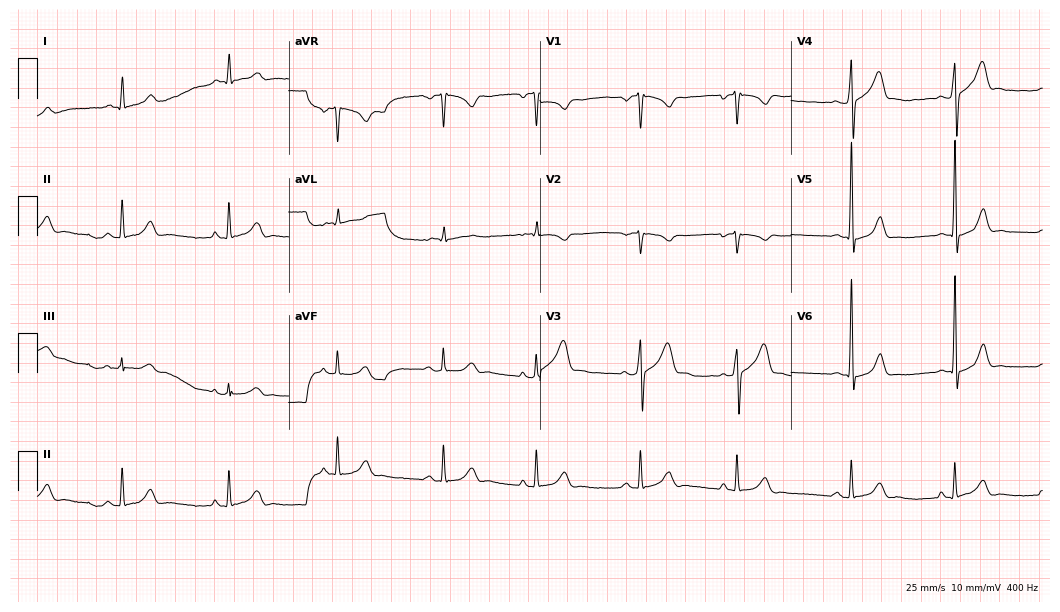
ECG (10.2-second recording at 400 Hz) — a male, 22 years old. Labelled as a normal ECG.